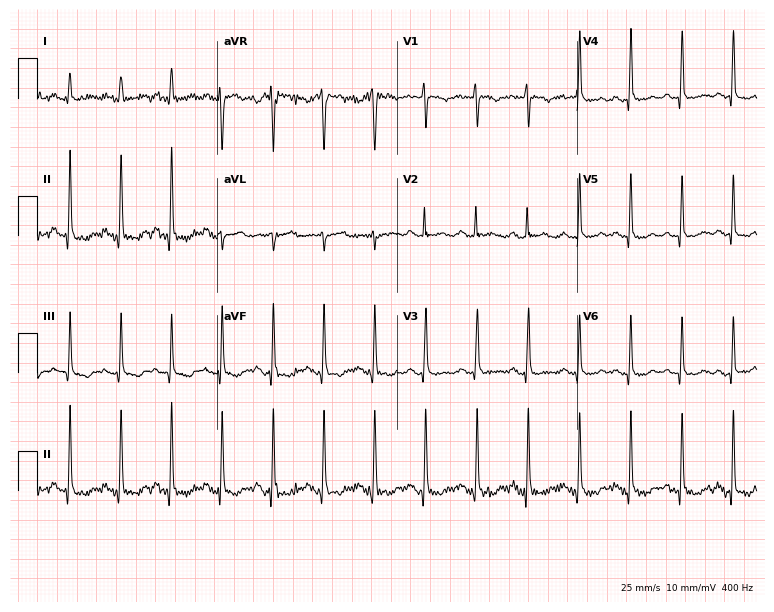
Electrocardiogram, a female, 26 years old. Of the six screened findings (first-degree AV block, right bundle branch block (RBBB), left bundle branch block (LBBB), sinus bradycardia, atrial fibrillation (AF), sinus tachycardia), none is recorded.